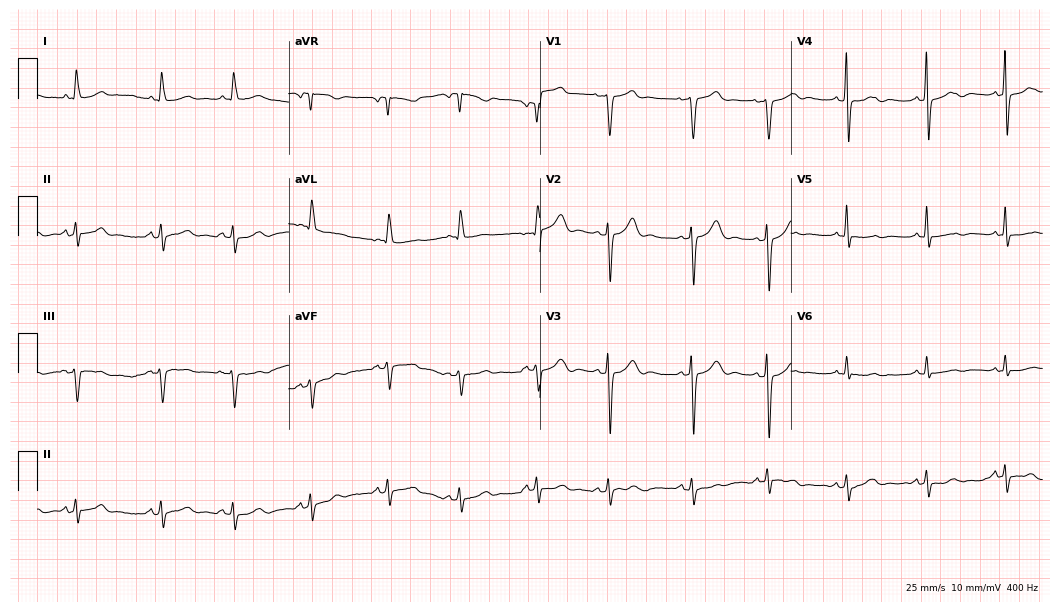
ECG (10.2-second recording at 400 Hz) — a female, 78 years old. Screened for six findings — first-degree AV block, right bundle branch block, left bundle branch block, sinus bradycardia, atrial fibrillation, sinus tachycardia — none is recorded. Only these six findings were labelled.